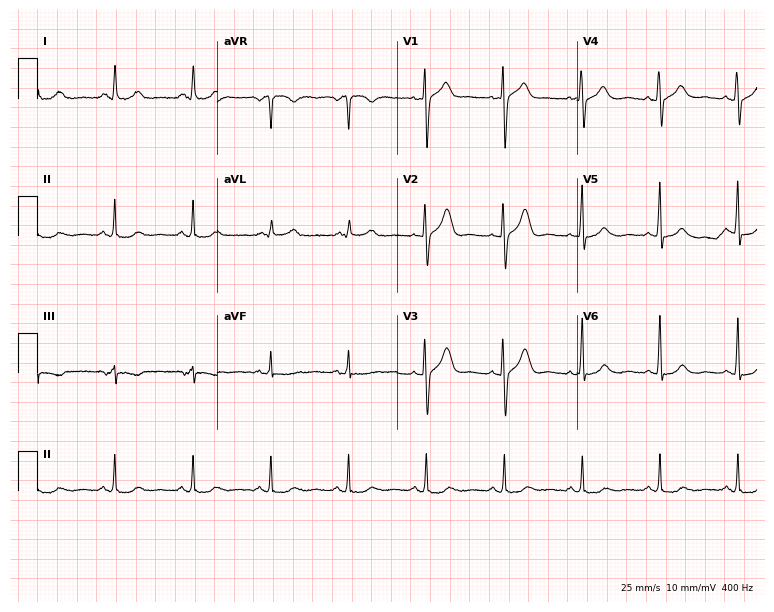
Resting 12-lead electrocardiogram (7.3-second recording at 400 Hz). Patient: a woman, 66 years old. Read as a normal ECG.